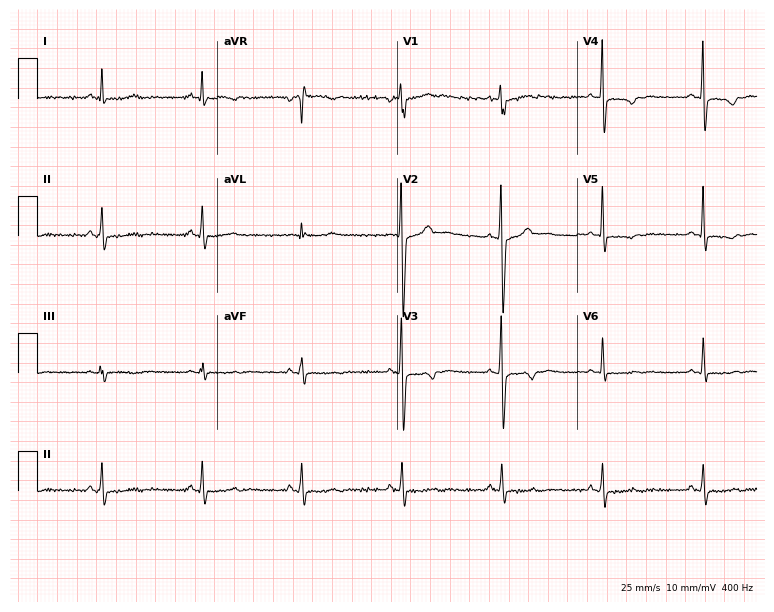
Standard 12-lead ECG recorded from a male, 55 years old. None of these six findings is recorded: first-degree AV block, right bundle branch block, left bundle branch block, sinus bradycardia, atrial fibrillation, sinus tachycardia.